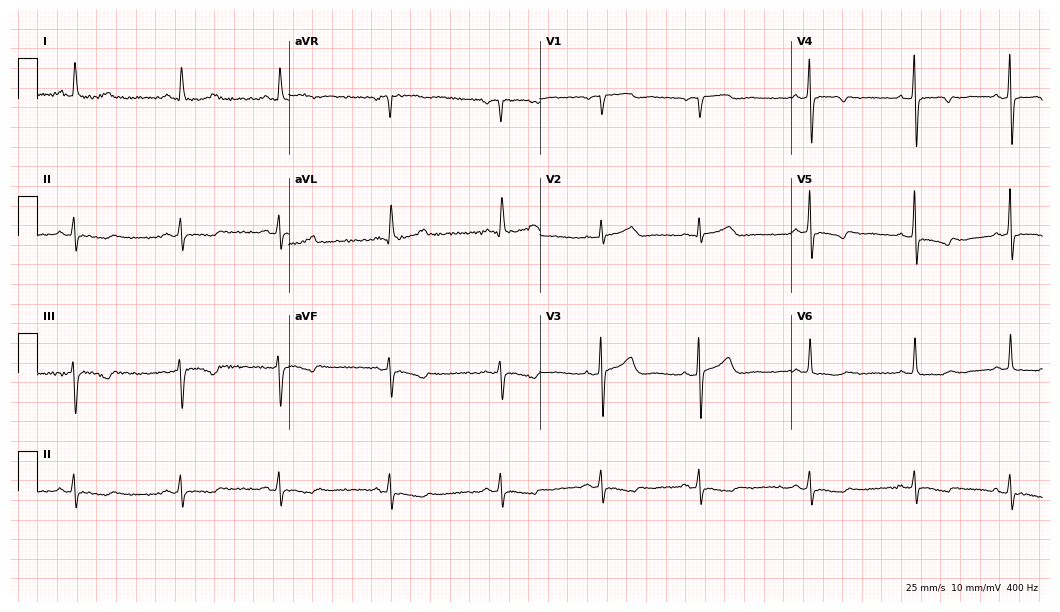
Standard 12-lead ECG recorded from a female, 66 years old (10.2-second recording at 400 Hz). None of these six findings is recorded: first-degree AV block, right bundle branch block, left bundle branch block, sinus bradycardia, atrial fibrillation, sinus tachycardia.